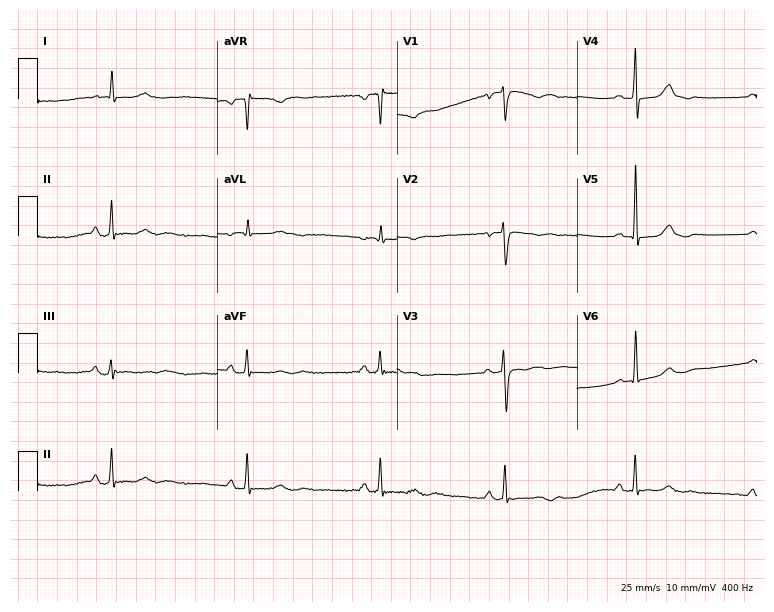
12-lead ECG from a female, 78 years old. No first-degree AV block, right bundle branch block, left bundle branch block, sinus bradycardia, atrial fibrillation or sinus tachycardia recorded for this tracing.